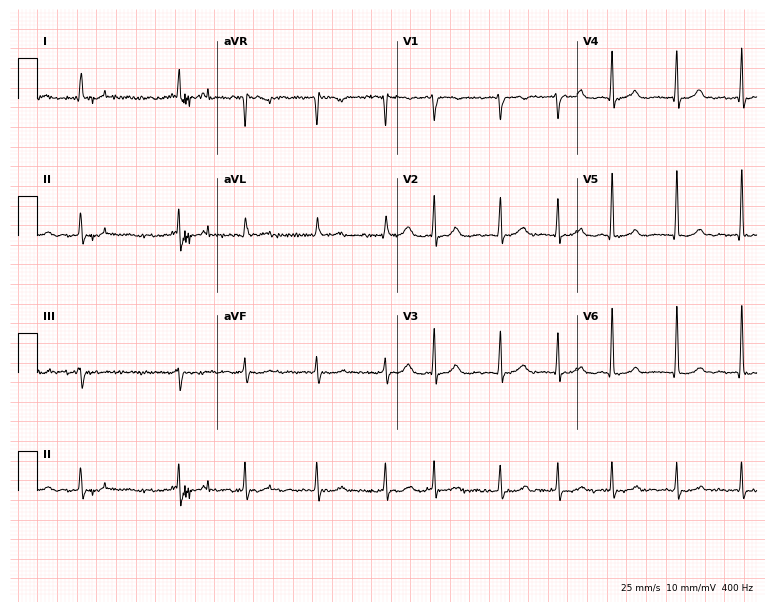
Electrocardiogram, a male, 68 years old. Interpretation includes atrial fibrillation (AF).